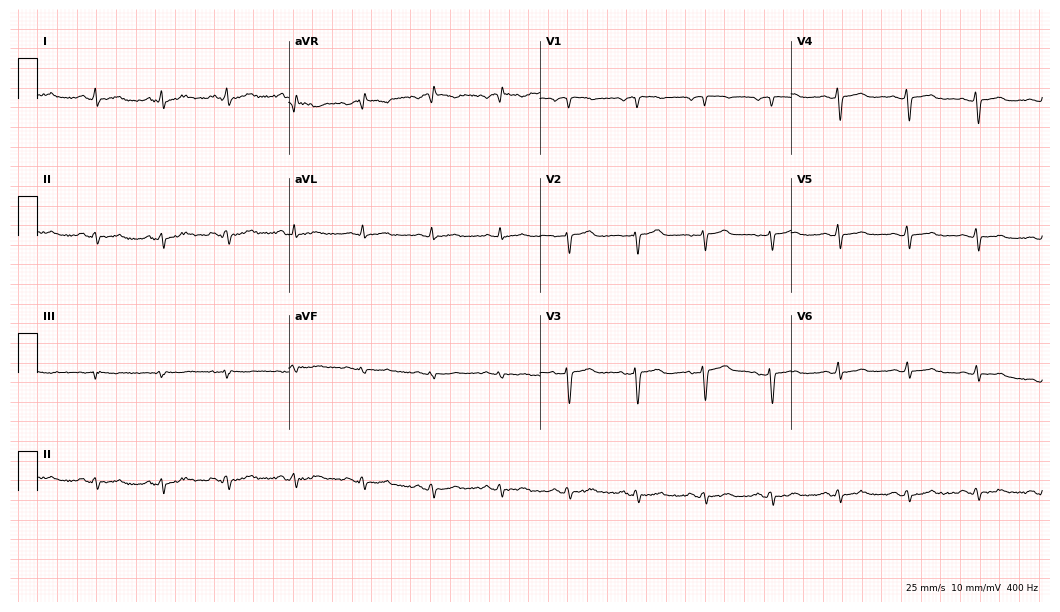
12-lead ECG from a female, 58 years old. Labelled as a normal ECG.